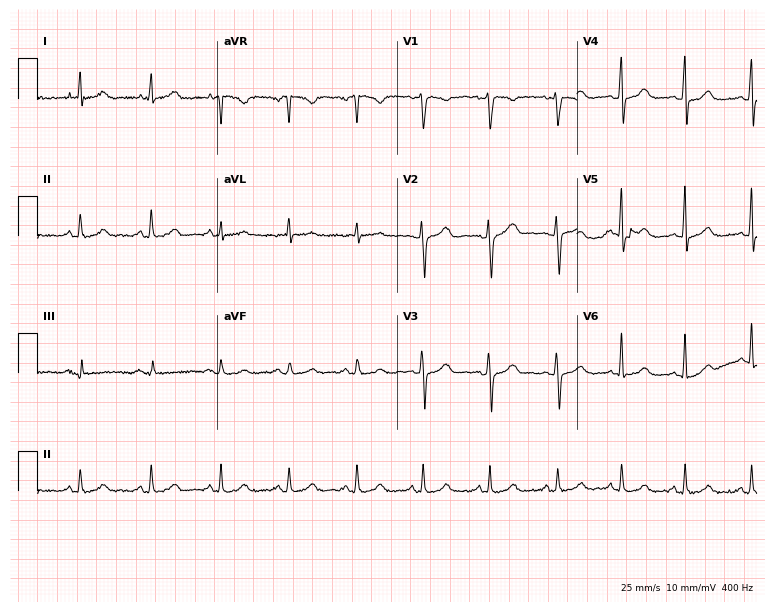
12-lead ECG (7.3-second recording at 400 Hz) from a 43-year-old female. Screened for six findings — first-degree AV block, right bundle branch block (RBBB), left bundle branch block (LBBB), sinus bradycardia, atrial fibrillation (AF), sinus tachycardia — none is recorded. Findings outside these six are not listed.